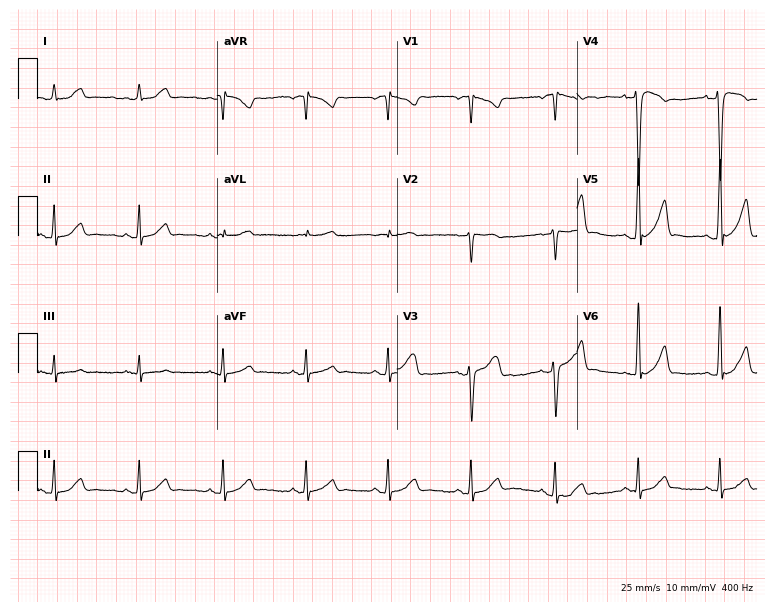
ECG — a male, 34 years old. Labelled as a normal ECG.